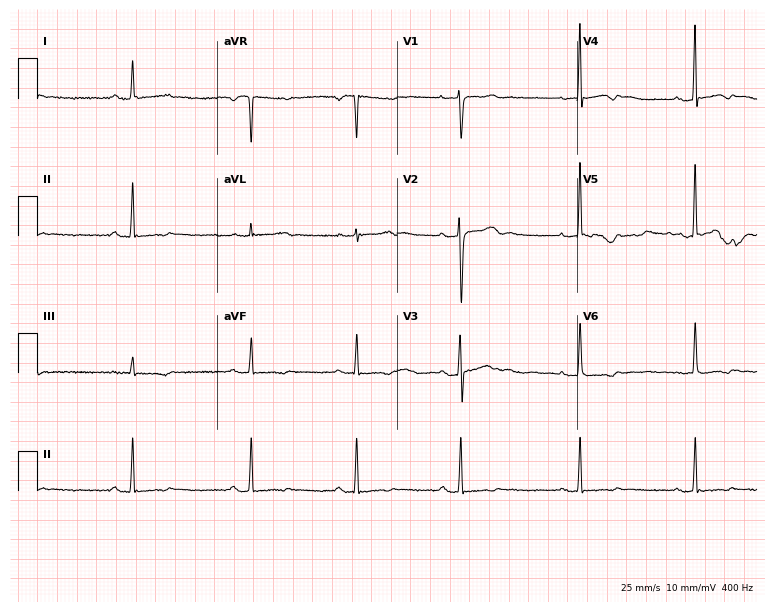
Electrocardiogram (7.3-second recording at 400 Hz), a 42-year-old female patient. Of the six screened findings (first-degree AV block, right bundle branch block (RBBB), left bundle branch block (LBBB), sinus bradycardia, atrial fibrillation (AF), sinus tachycardia), none is recorded.